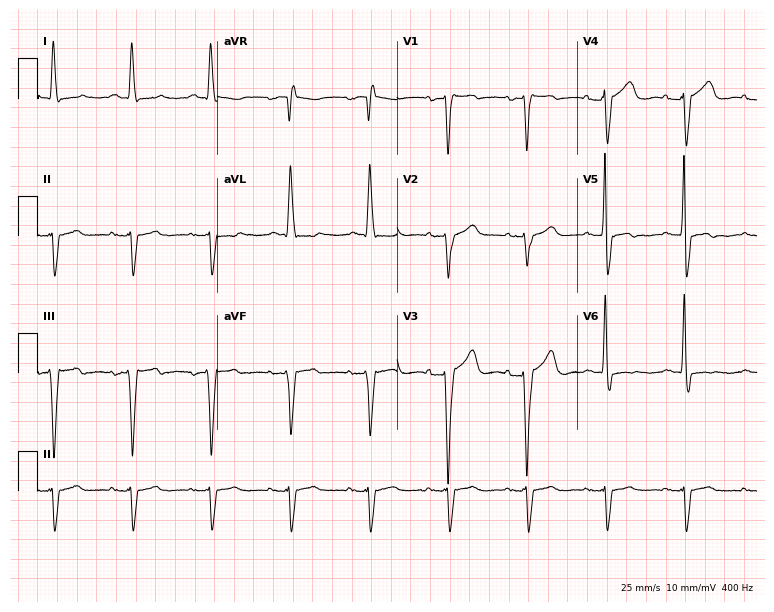
12-lead ECG from a 75-year-old male. No first-degree AV block, right bundle branch block (RBBB), left bundle branch block (LBBB), sinus bradycardia, atrial fibrillation (AF) or sinus tachycardia recorded for this tracing. Findings outside these six are not listed.